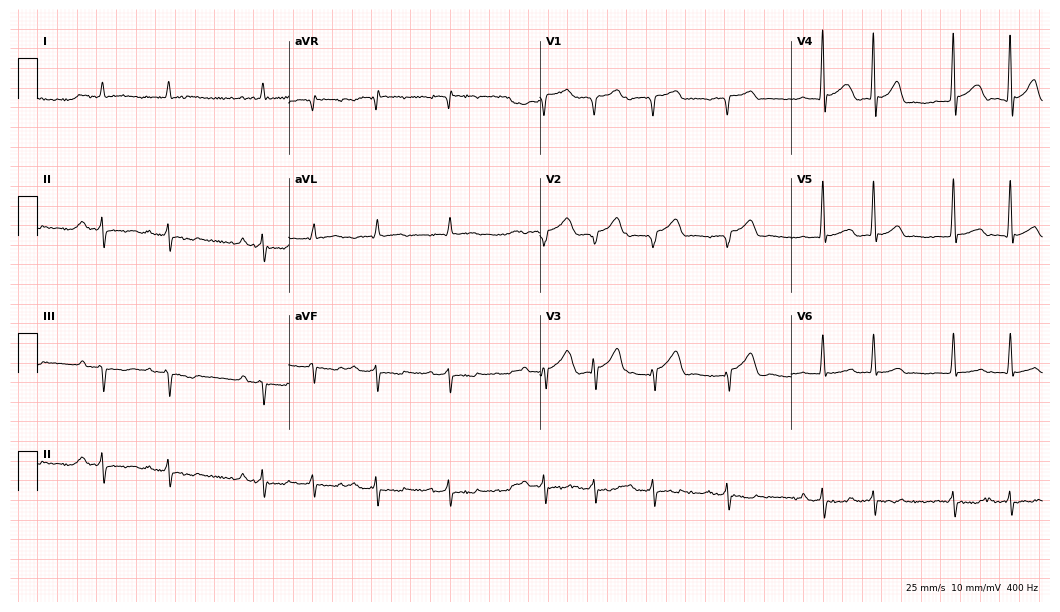
ECG — a male, 84 years old. Findings include first-degree AV block.